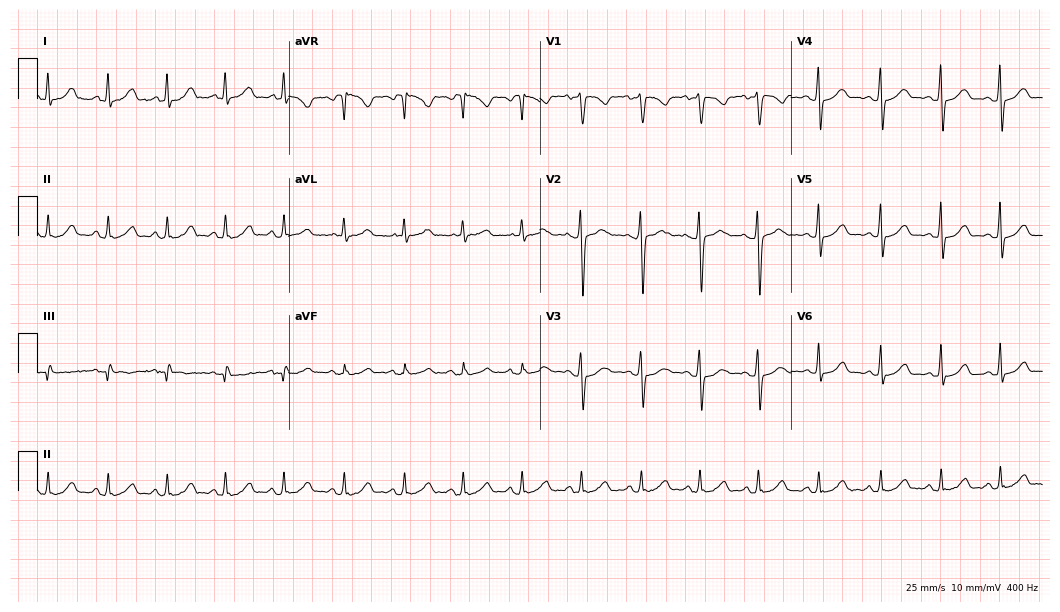
12-lead ECG from a 32-year-old female. Screened for six findings — first-degree AV block, right bundle branch block, left bundle branch block, sinus bradycardia, atrial fibrillation, sinus tachycardia — none is recorded.